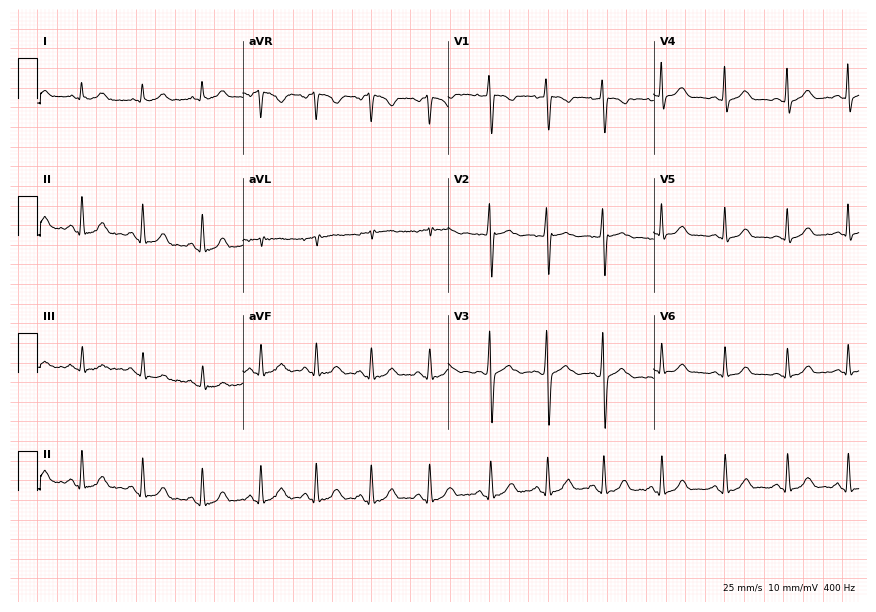
Electrocardiogram, a 22-year-old female. Overall reading on record: normal ECG.